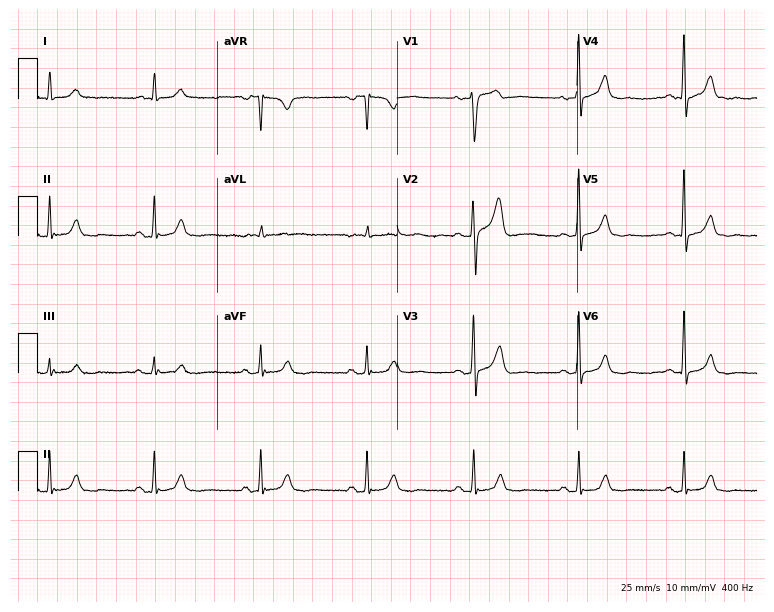
12-lead ECG from a 77-year-old male. Recorded interpretation: within normal limits.